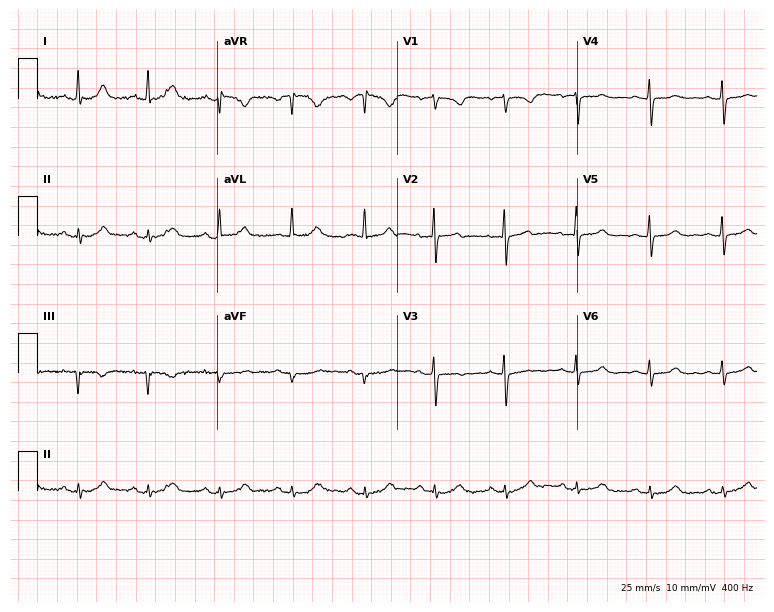
ECG (7.3-second recording at 400 Hz) — a woman, 75 years old. Screened for six findings — first-degree AV block, right bundle branch block, left bundle branch block, sinus bradycardia, atrial fibrillation, sinus tachycardia — none is recorded.